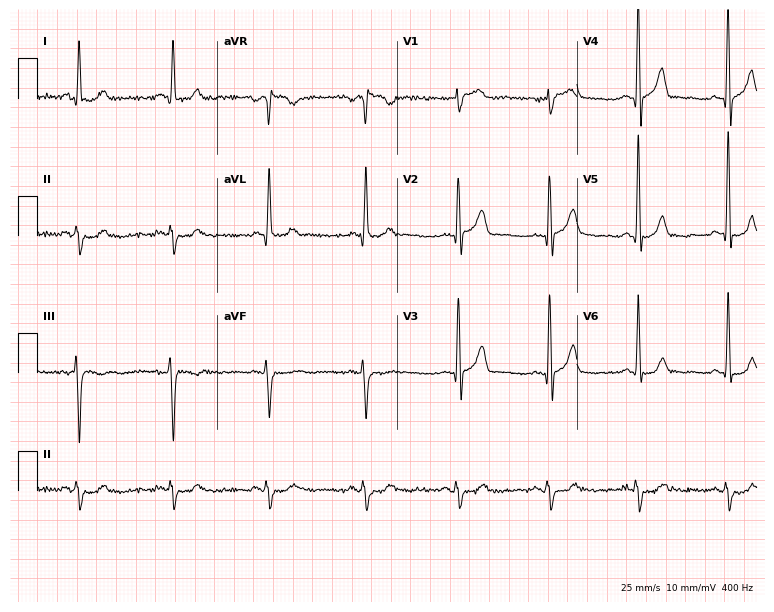
Resting 12-lead electrocardiogram (7.3-second recording at 400 Hz). Patient: a 61-year-old man. None of these six findings is recorded: first-degree AV block, right bundle branch block, left bundle branch block, sinus bradycardia, atrial fibrillation, sinus tachycardia.